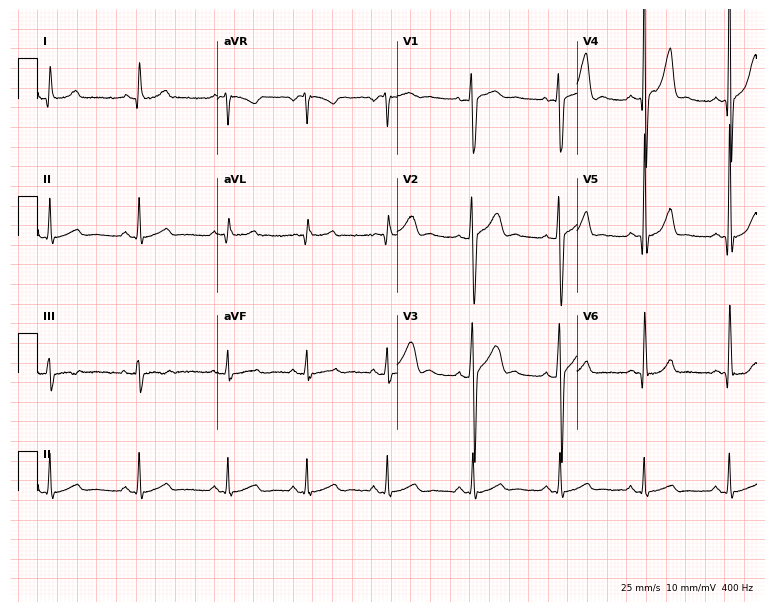
Resting 12-lead electrocardiogram (7.3-second recording at 400 Hz). Patient: a 17-year-old male. None of these six findings is recorded: first-degree AV block, right bundle branch block, left bundle branch block, sinus bradycardia, atrial fibrillation, sinus tachycardia. Other findings, if any, are not listed.